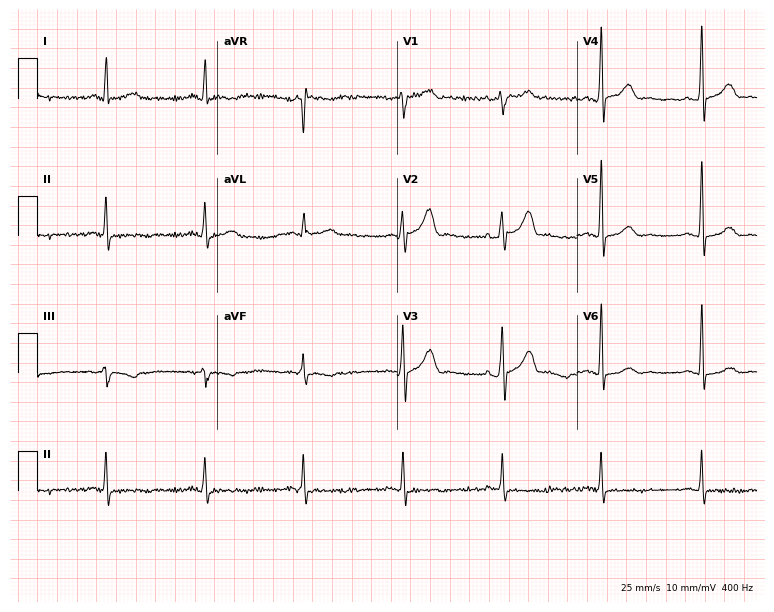
Electrocardiogram, a man, 57 years old. Of the six screened findings (first-degree AV block, right bundle branch block, left bundle branch block, sinus bradycardia, atrial fibrillation, sinus tachycardia), none is recorded.